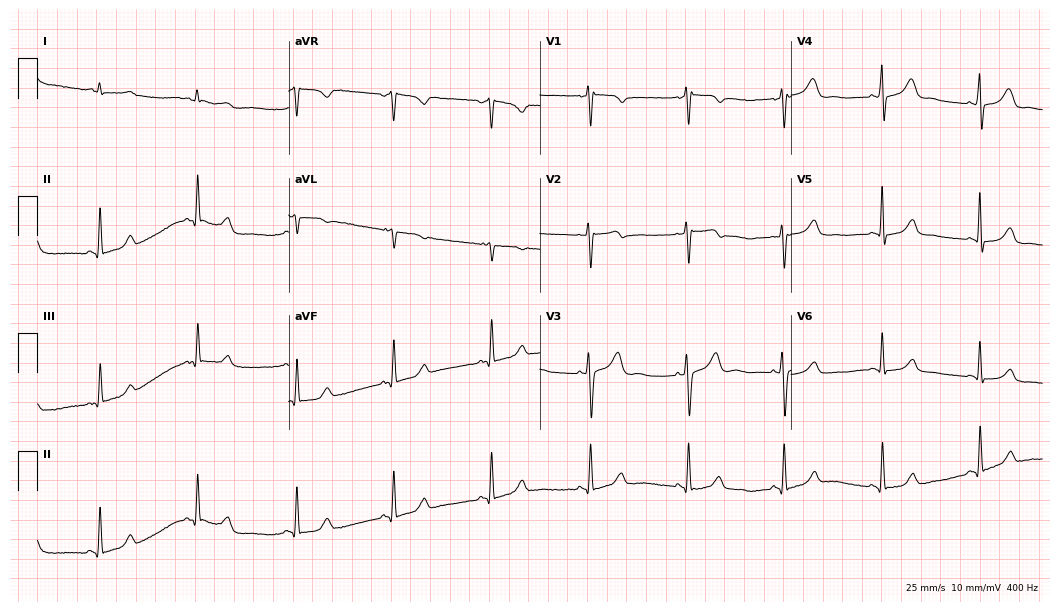
12-lead ECG (10.2-second recording at 400 Hz) from a woman, 42 years old. Labelled as a normal ECG.